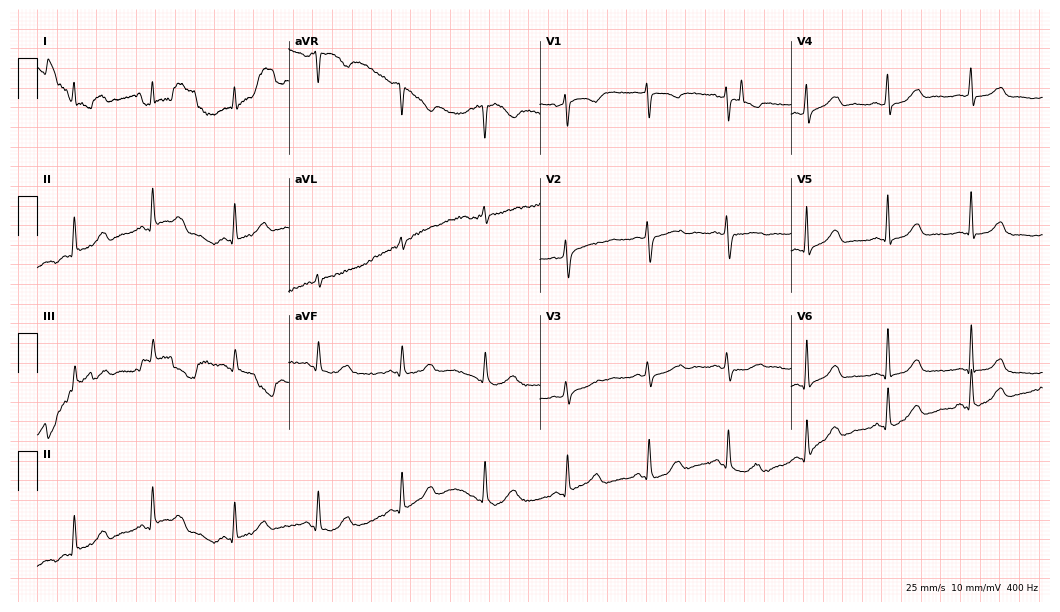
Electrocardiogram, a woman, 53 years old. Of the six screened findings (first-degree AV block, right bundle branch block (RBBB), left bundle branch block (LBBB), sinus bradycardia, atrial fibrillation (AF), sinus tachycardia), none is recorded. Only these six findings were labelled.